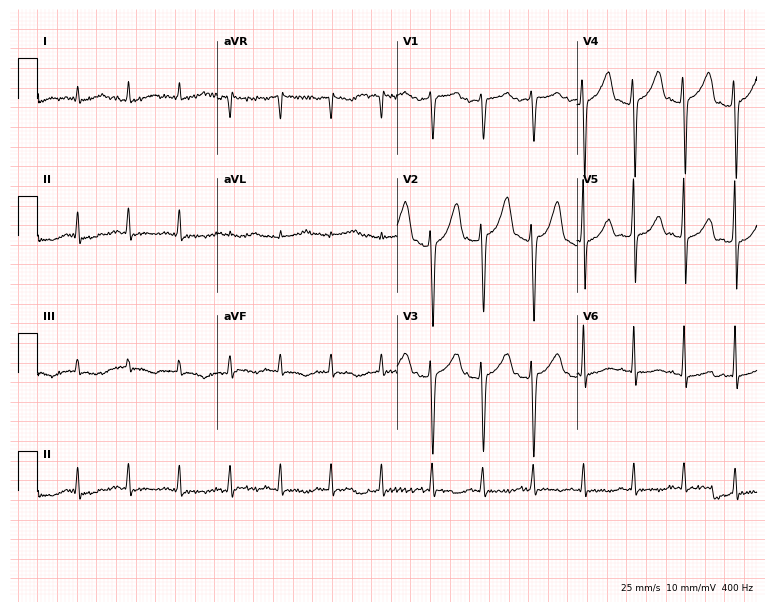
ECG (7.3-second recording at 400 Hz) — a man, 24 years old. Findings include sinus tachycardia (a sinus rate of 100 beats per minute or more).